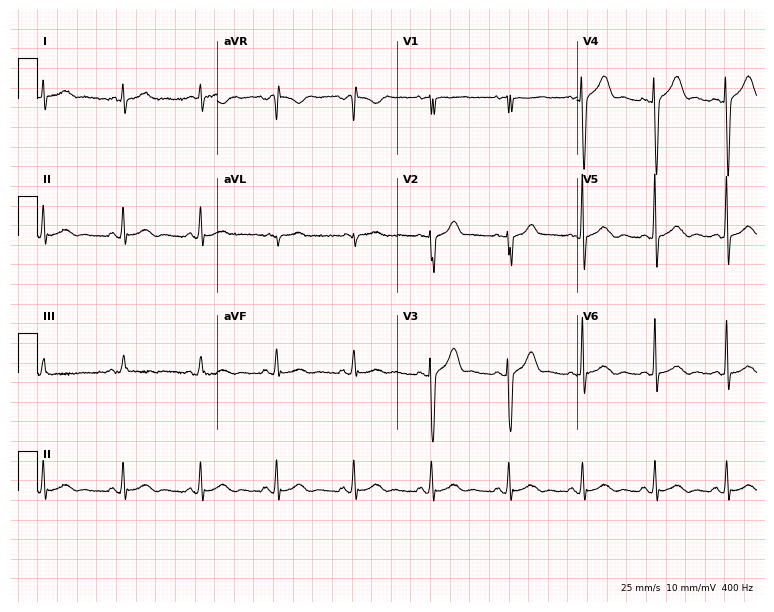
ECG — a man, 52 years old. Screened for six findings — first-degree AV block, right bundle branch block, left bundle branch block, sinus bradycardia, atrial fibrillation, sinus tachycardia — none is recorded. Findings outside these six are not listed.